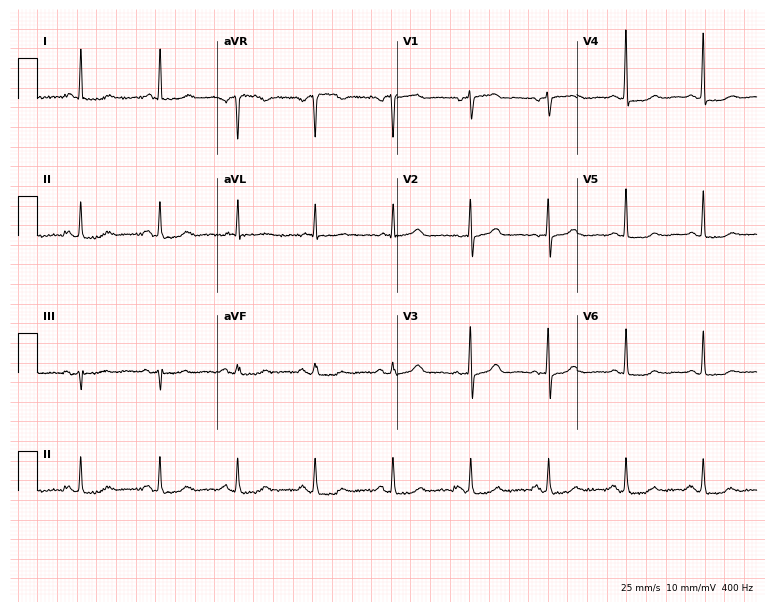
Resting 12-lead electrocardiogram. Patient: a female, 83 years old. Read as a normal ECG.